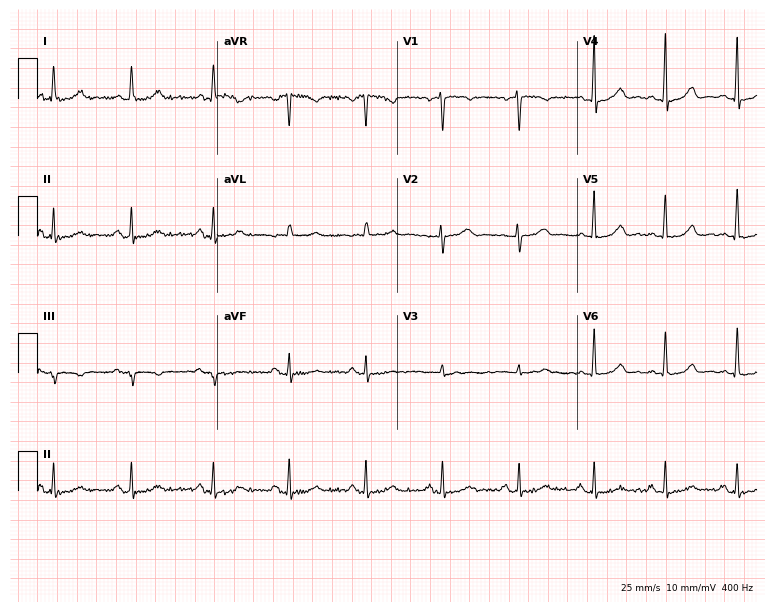
Resting 12-lead electrocardiogram. Patient: a female, 39 years old. Read as a normal ECG.